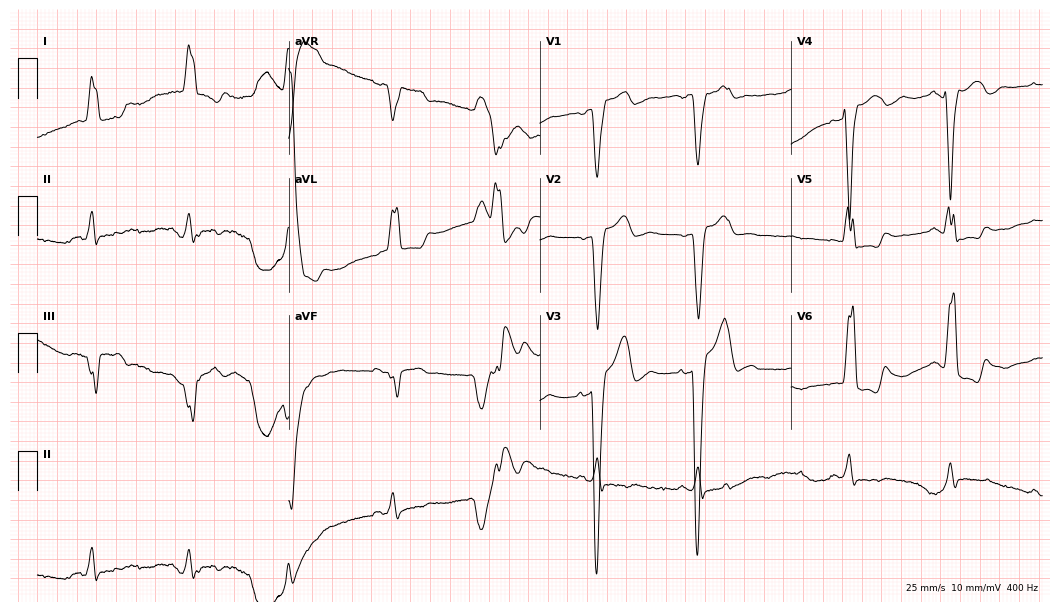
Electrocardiogram (10.2-second recording at 400 Hz), a man, 79 years old. Of the six screened findings (first-degree AV block, right bundle branch block, left bundle branch block, sinus bradycardia, atrial fibrillation, sinus tachycardia), none is recorded. Only these six findings were labelled.